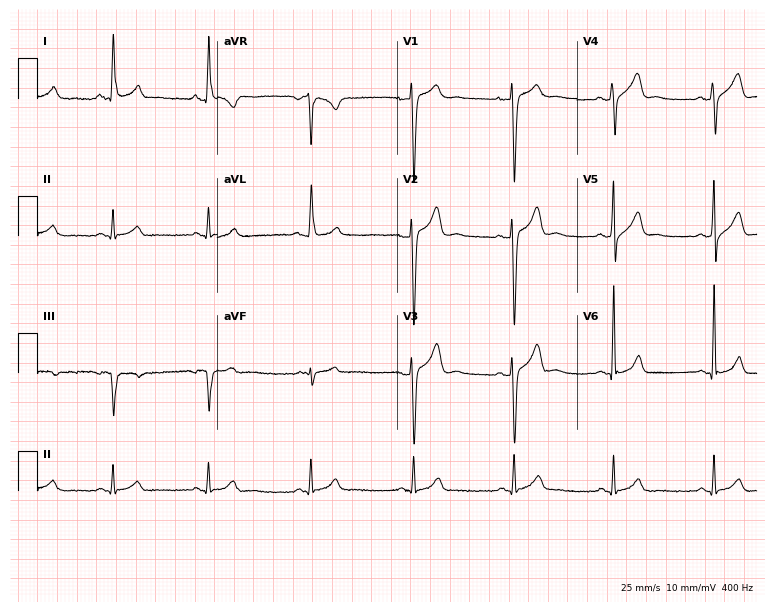
Electrocardiogram (7.3-second recording at 400 Hz), a 25-year-old male patient. Of the six screened findings (first-degree AV block, right bundle branch block, left bundle branch block, sinus bradycardia, atrial fibrillation, sinus tachycardia), none is recorded.